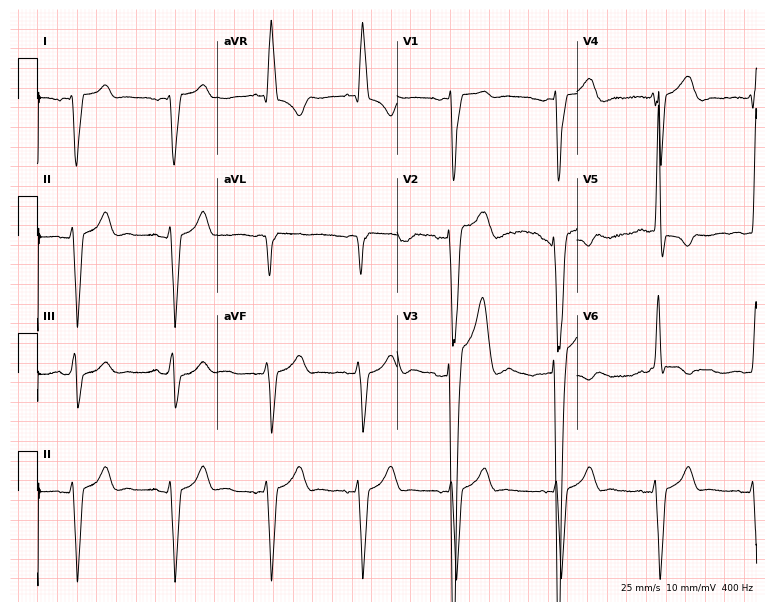
Electrocardiogram (7.3-second recording at 400 Hz), a man, 85 years old. Of the six screened findings (first-degree AV block, right bundle branch block, left bundle branch block, sinus bradycardia, atrial fibrillation, sinus tachycardia), none is recorded. Only these six findings were labelled.